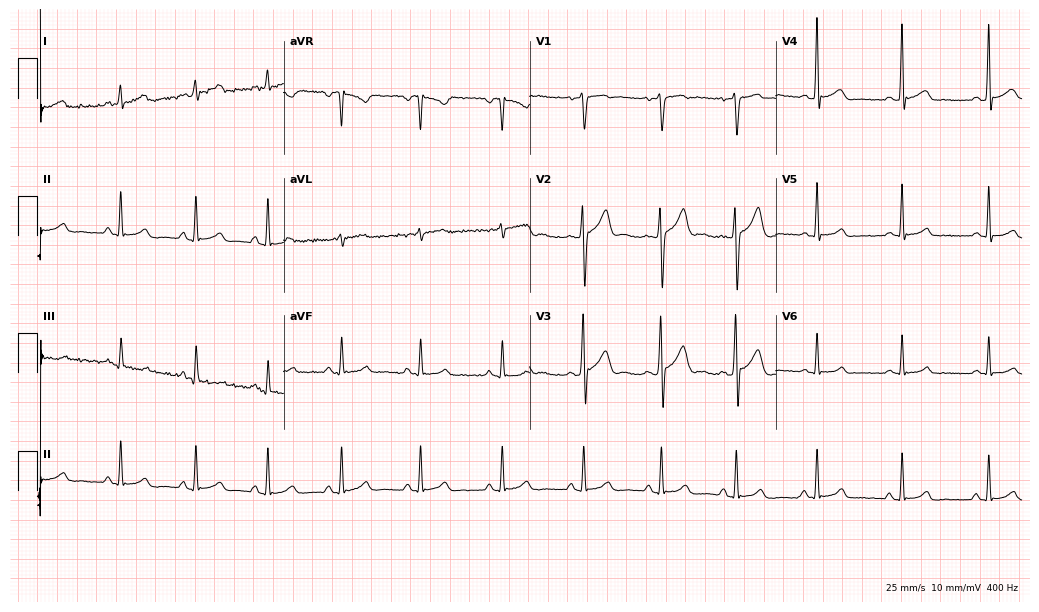
Electrocardiogram (10-second recording at 400 Hz), a man, 31 years old. Overall reading on record: normal ECG.